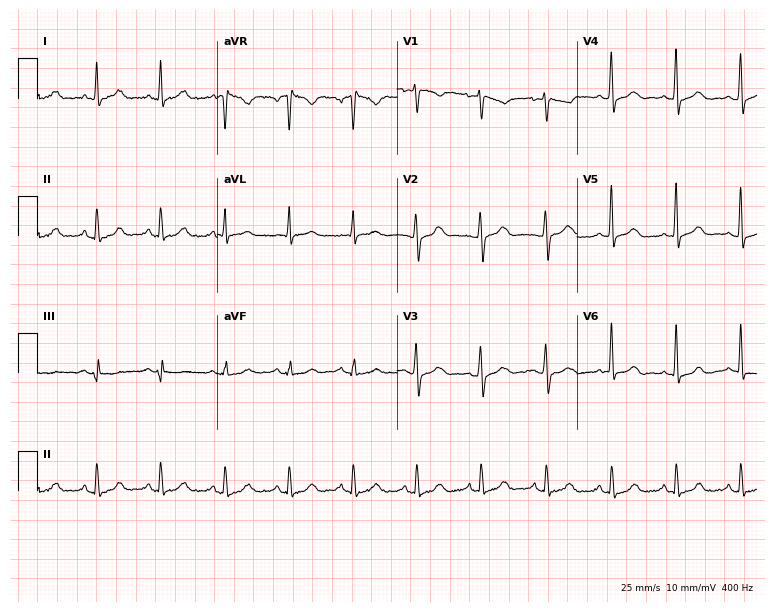
12-lead ECG (7.3-second recording at 400 Hz) from a 42-year-old female patient. Screened for six findings — first-degree AV block, right bundle branch block, left bundle branch block, sinus bradycardia, atrial fibrillation, sinus tachycardia — none is recorded.